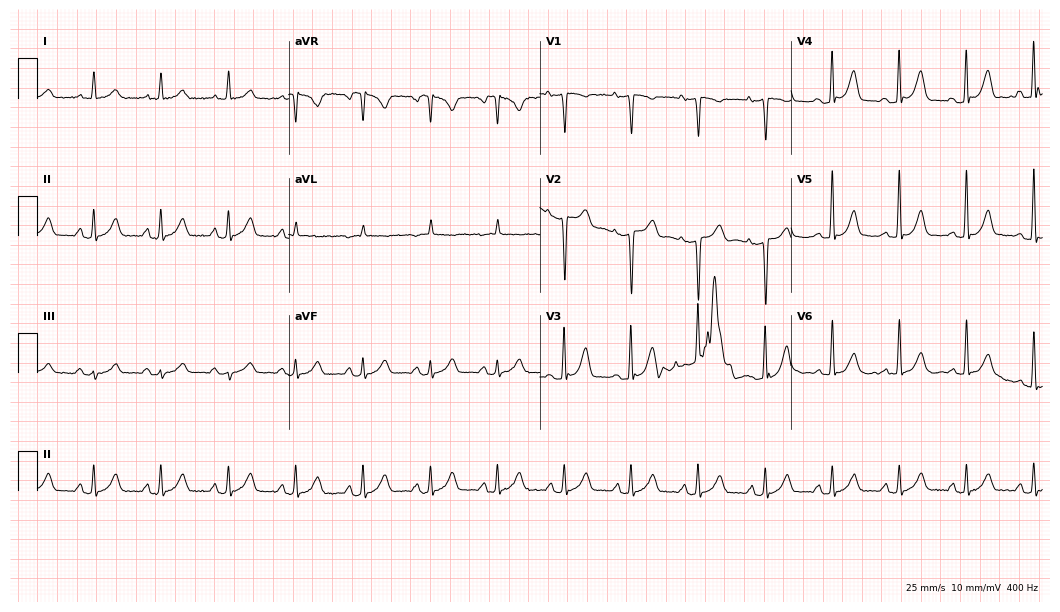
Electrocardiogram, a 59-year-old male patient. Overall reading on record: normal ECG.